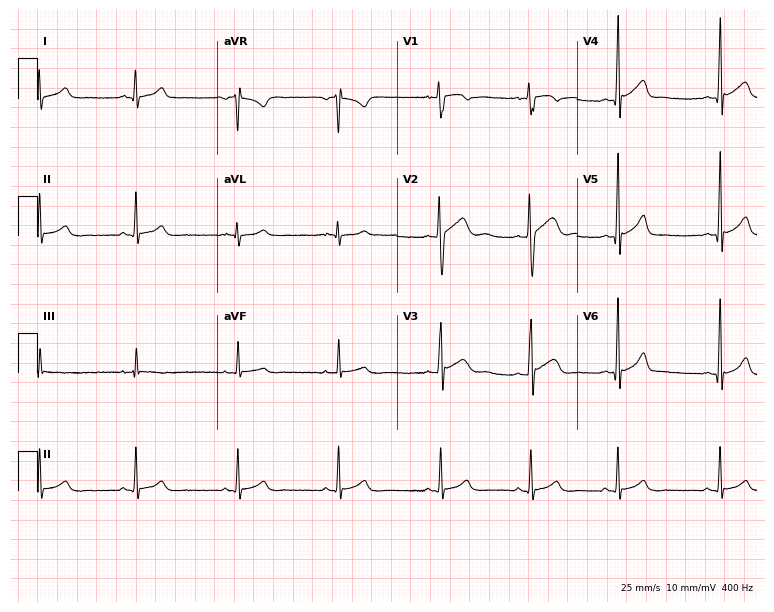
ECG — a 17-year-old man. Screened for six findings — first-degree AV block, right bundle branch block (RBBB), left bundle branch block (LBBB), sinus bradycardia, atrial fibrillation (AF), sinus tachycardia — none is recorded. Findings outside these six are not listed.